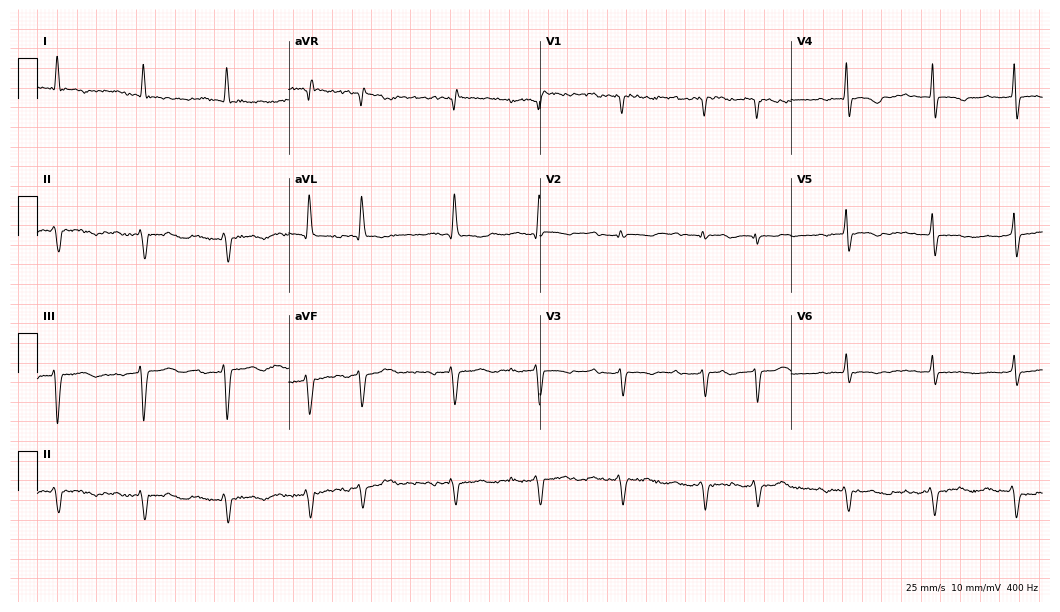
Resting 12-lead electrocardiogram. Patient: a female, 83 years old. The tracing shows first-degree AV block.